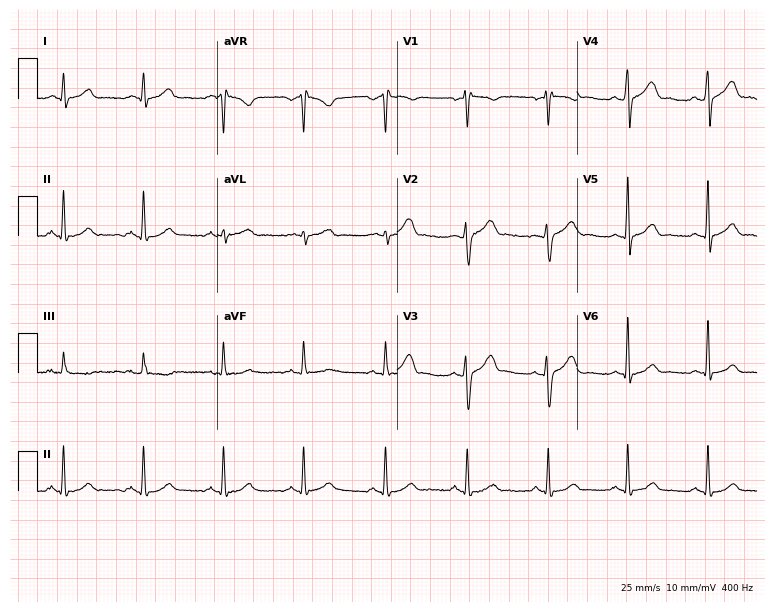
ECG — a 19-year-old male patient. Labelled as a normal ECG.